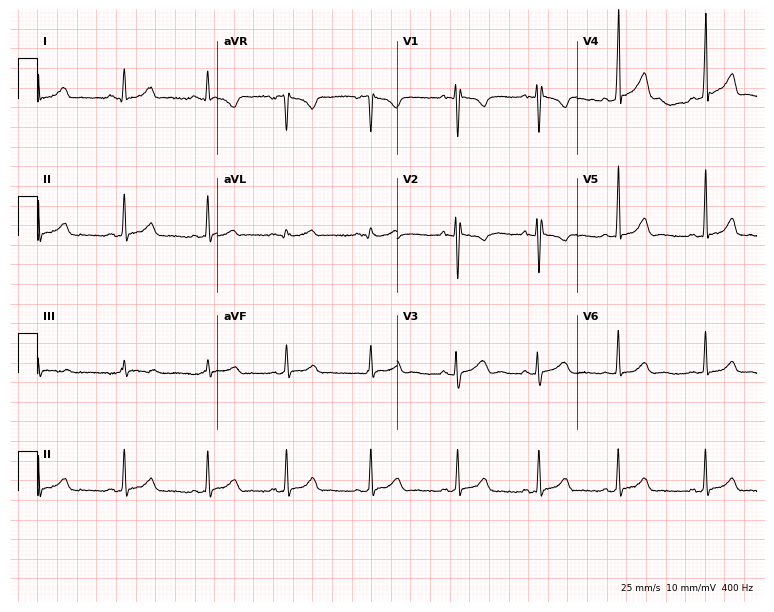
Standard 12-lead ECG recorded from a 20-year-old female. None of these six findings is recorded: first-degree AV block, right bundle branch block (RBBB), left bundle branch block (LBBB), sinus bradycardia, atrial fibrillation (AF), sinus tachycardia.